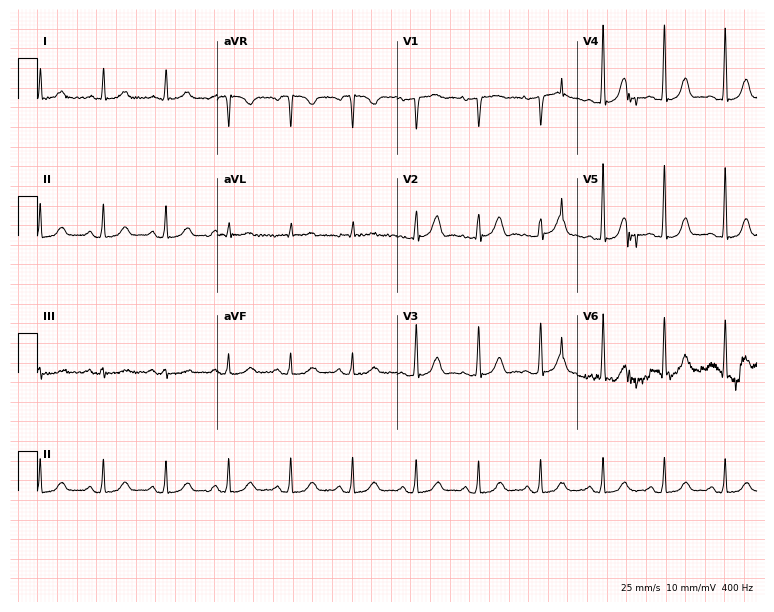
Electrocardiogram (7.3-second recording at 400 Hz), a 62-year-old female. Overall reading on record: normal ECG.